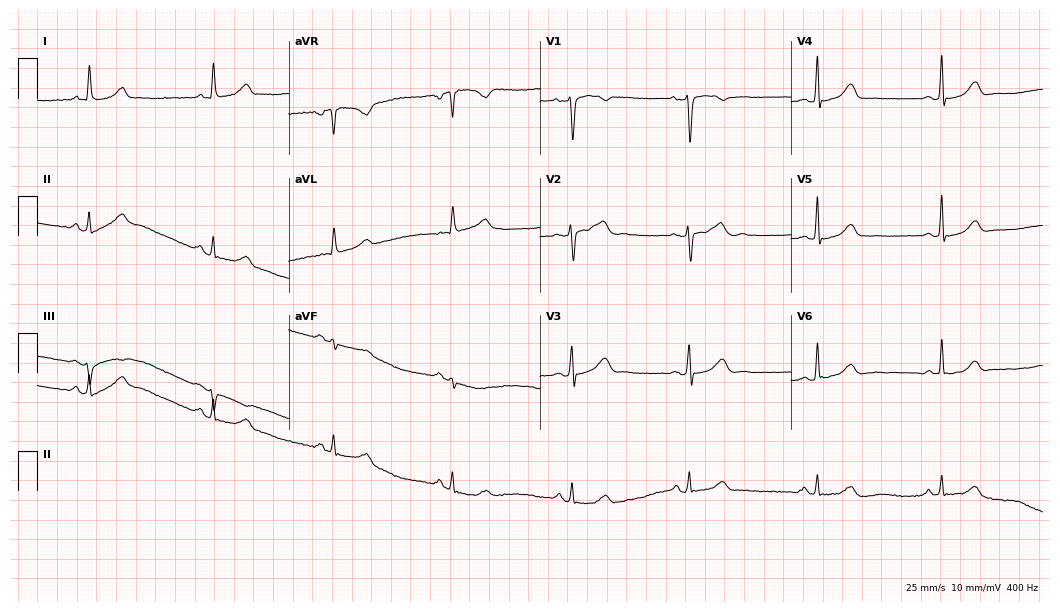
12-lead ECG from a 45-year-old female patient. Shows sinus bradycardia (a sinus rate of 50 beats per minute or less).